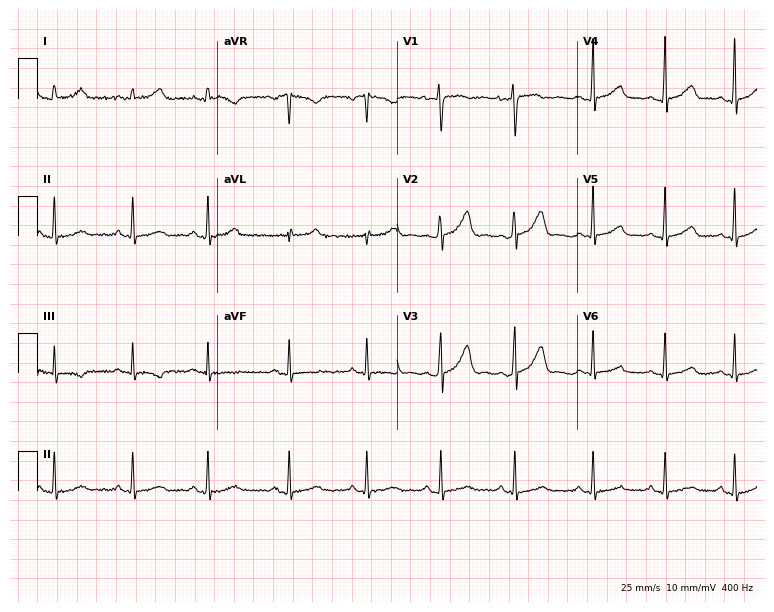
Electrocardiogram (7.3-second recording at 400 Hz), a woman, 19 years old. Overall reading on record: normal ECG.